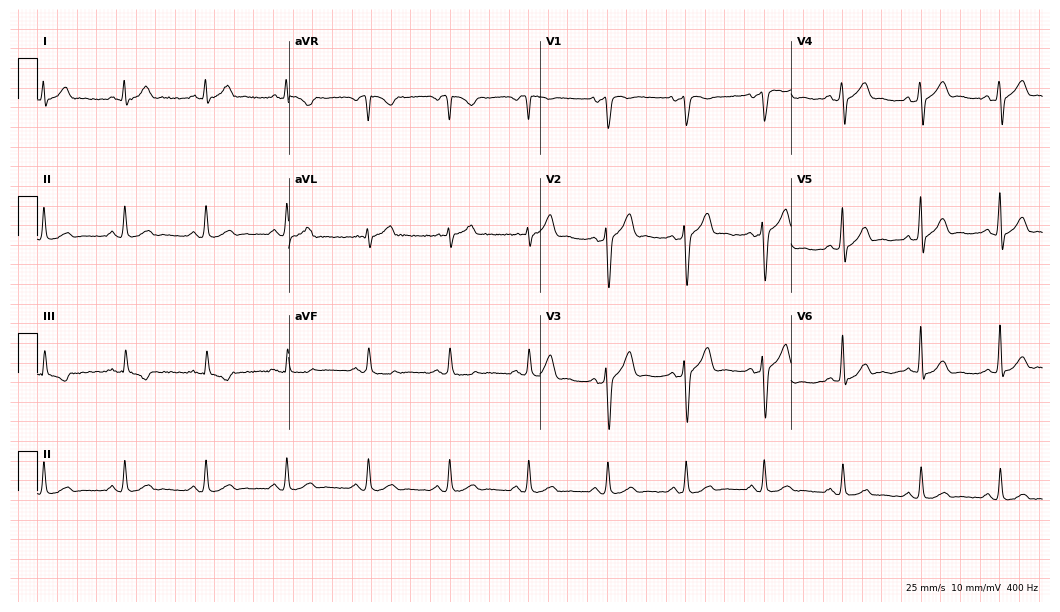
12-lead ECG (10.2-second recording at 400 Hz) from a male patient, 46 years old. Labelled as a normal ECG.